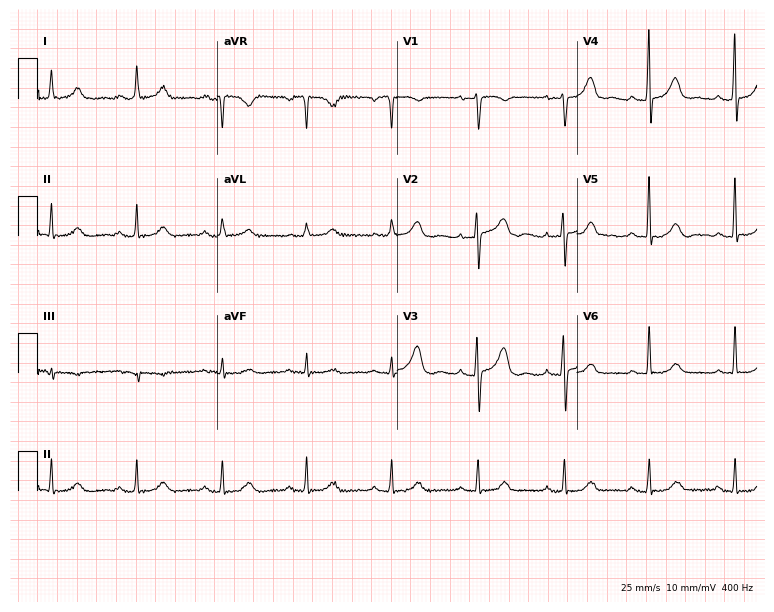
ECG (7.3-second recording at 400 Hz) — a 48-year-old woman. Screened for six findings — first-degree AV block, right bundle branch block, left bundle branch block, sinus bradycardia, atrial fibrillation, sinus tachycardia — none is recorded. Findings outside these six are not listed.